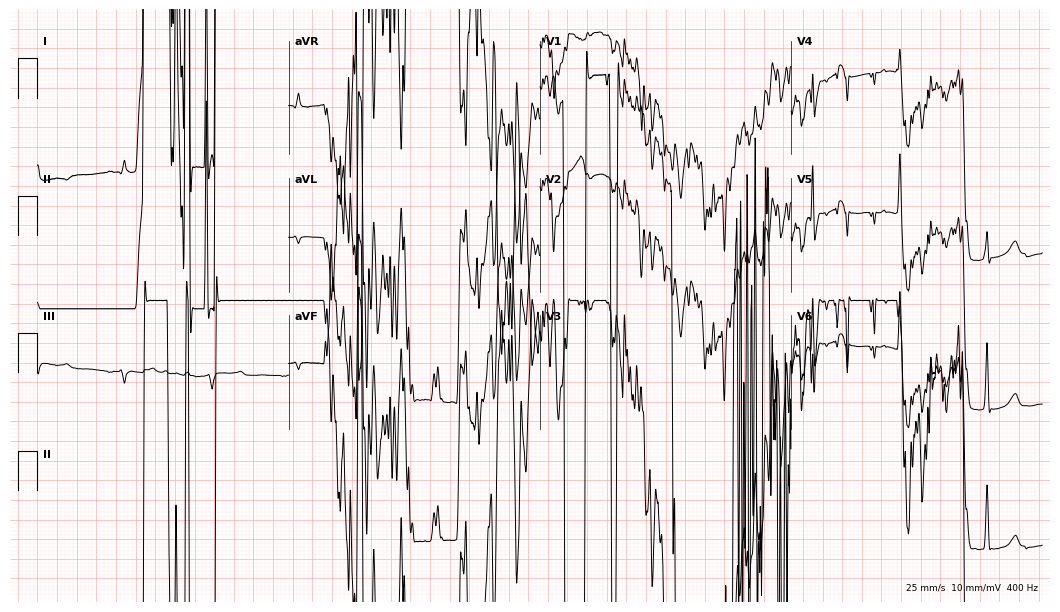
Resting 12-lead electrocardiogram. Patient: a 54-year-old female. None of these six findings is recorded: first-degree AV block, right bundle branch block, left bundle branch block, sinus bradycardia, atrial fibrillation, sinus tachycardia.